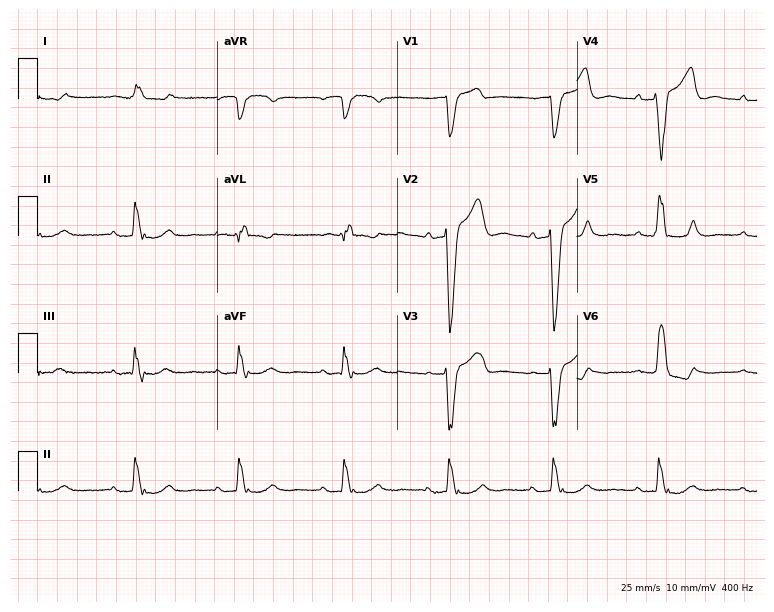
12-lead ECG from a man, 79 years old. Shows first-degree AV block, left bundle branch block.